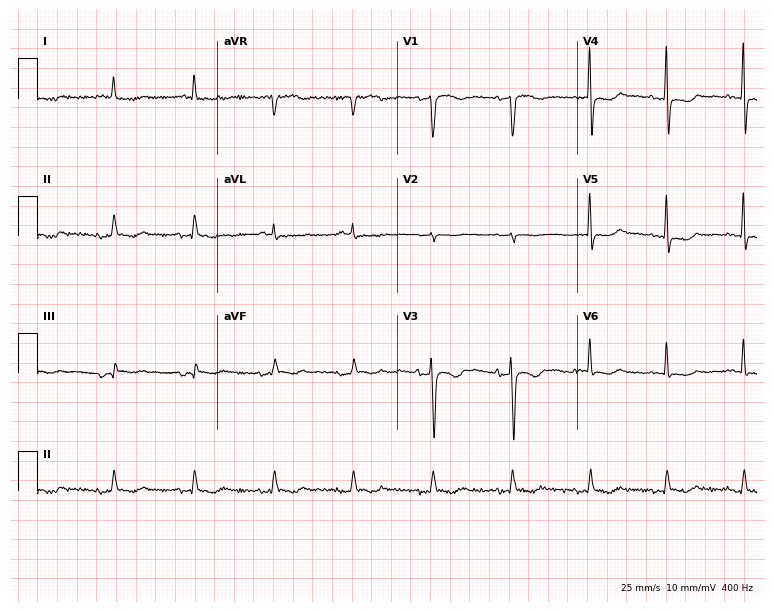
Resting 12-lead electrocardiogram. Patient: a 77-year-old female. None of these six findings is recorded: first-degree AV block, right bundle branch block, left bundle branch block, sinus bradycardia, atrial fibrillation, sinus tachycardia. Findings outside these six are not listed.